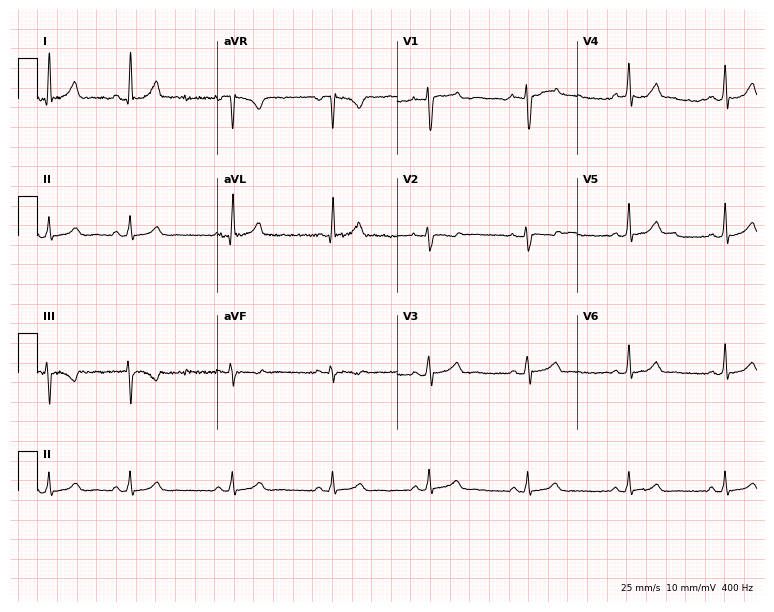
Electrocardiogram, a 26-year-old female. Overall reading on record: normal ECG.